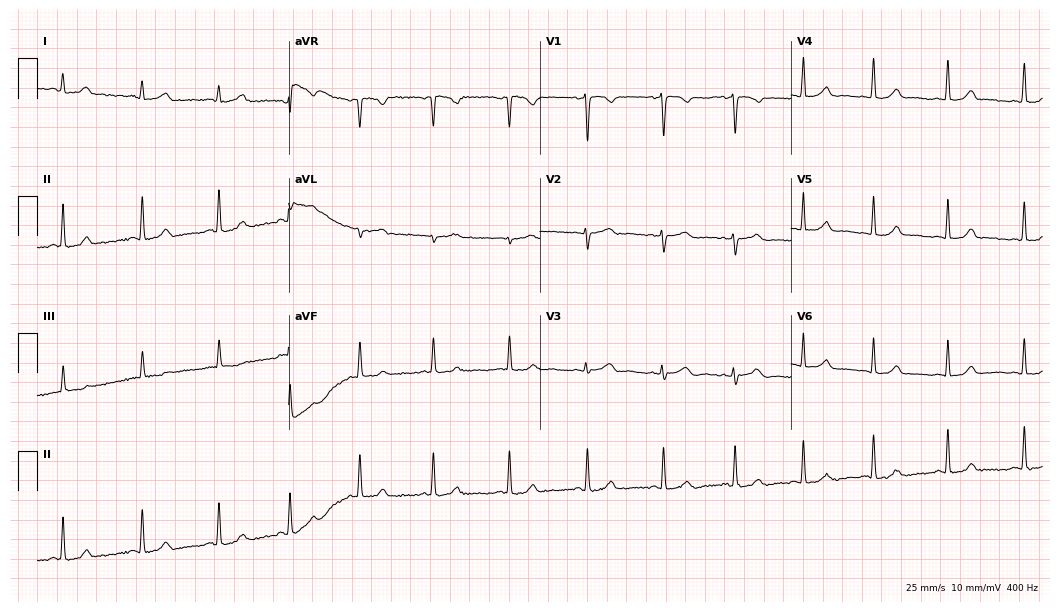
12-lead ECG from a 29-year-old female patient. Recorded interpretation: within normal limits.